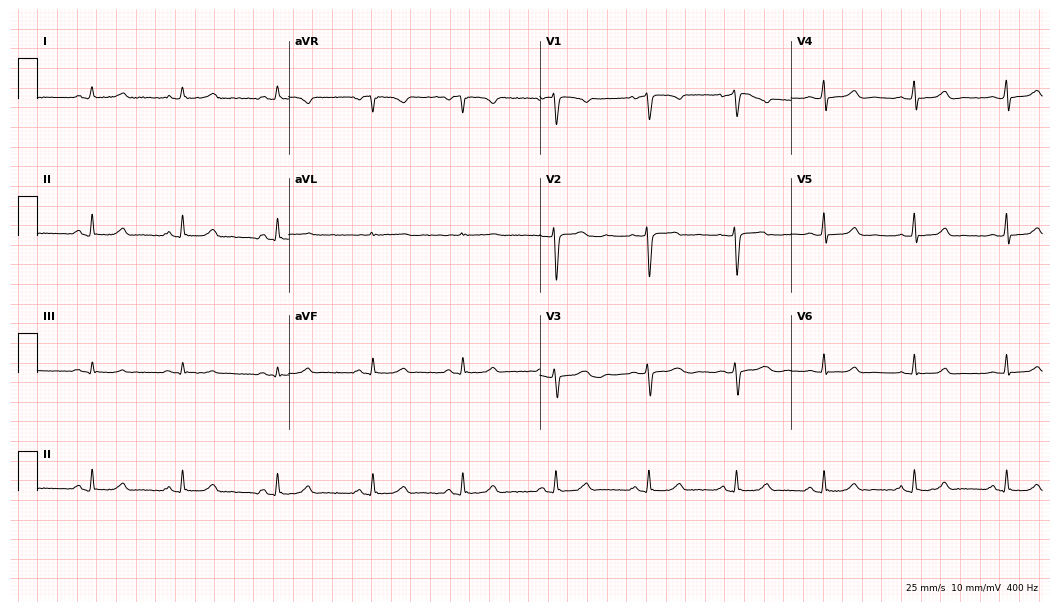
Resting 12-lead electrocardiogram (10.2-second recording at 400 Hz). Patient: a 41-year-old female. None of these six findings is recorded: first-degree AV block, right bundle branch block, left bundle branch block, sinus bradycardia, atrial fibrillation, sinus tachycardia. Only these six findings were labelled.